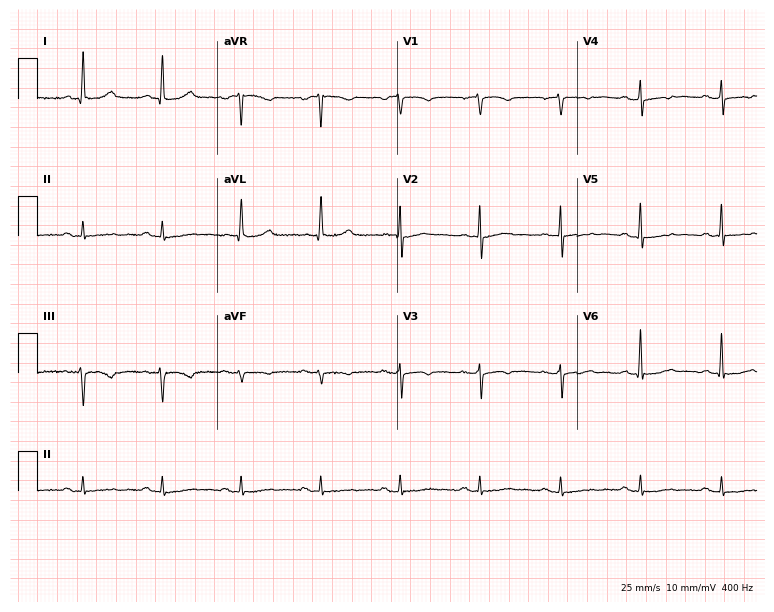
12-lead ECG from a female patient, 66 years old. No first-degree AV block, right bundle branch block, left bundle branch block, sinus bradycardia, atrial fibrillation or sinus tachycardia recorded for this tracing.